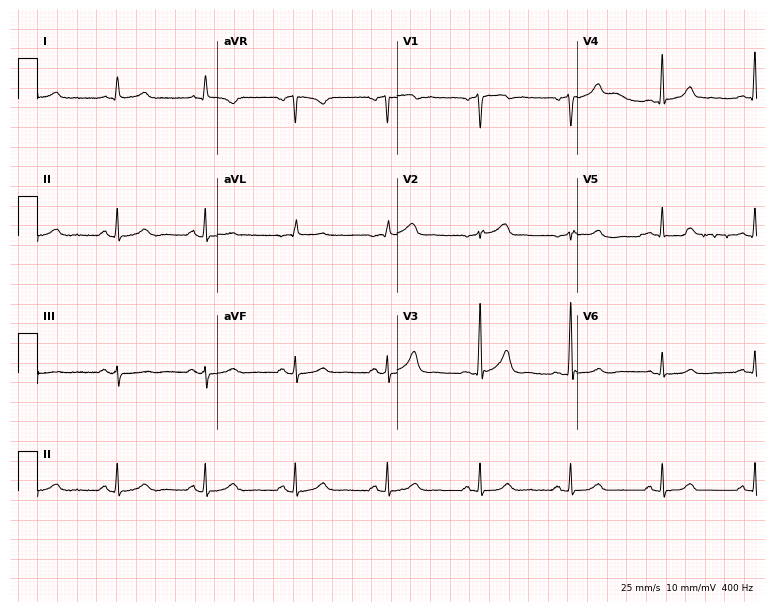
12-lead ECG from a male patient, 54 years old (7.3-second recording at 400 Hz). Recorded interpretation: within normal limits.